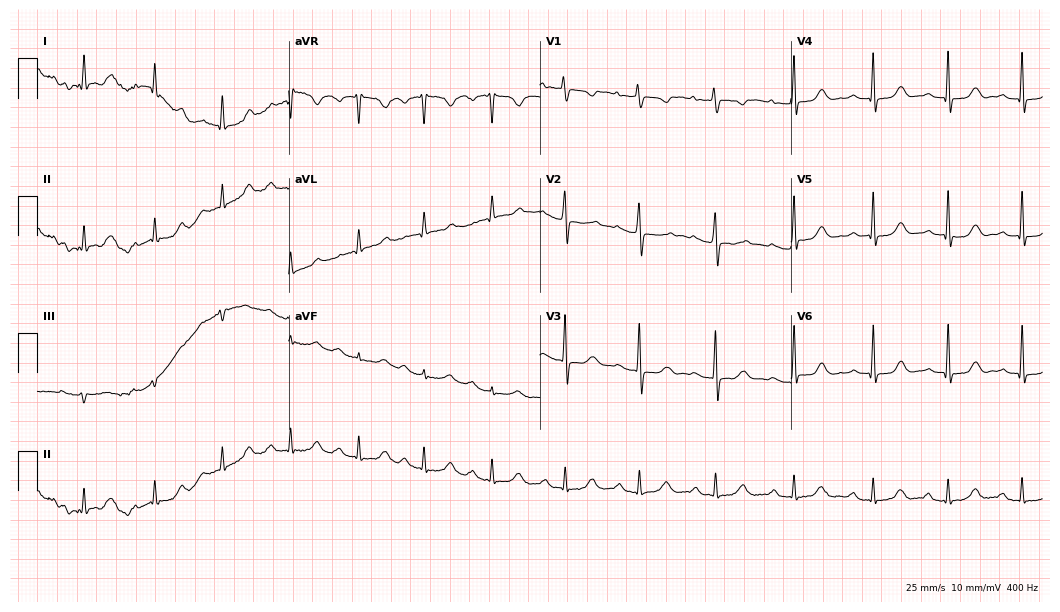
Standard 12-lead ECG recorded from a 44-year-old female (10.2-second recording at 400 Hz). Read as a normal ECG.